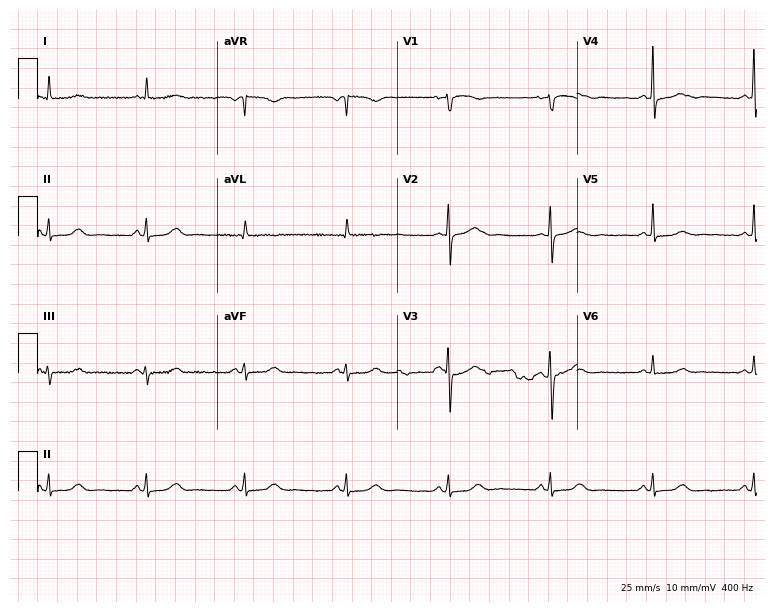
Electrocardiogram (7.3-second recording at 400 Hz), a female patient, 60 years old. Overall reading on record: normal ECG.